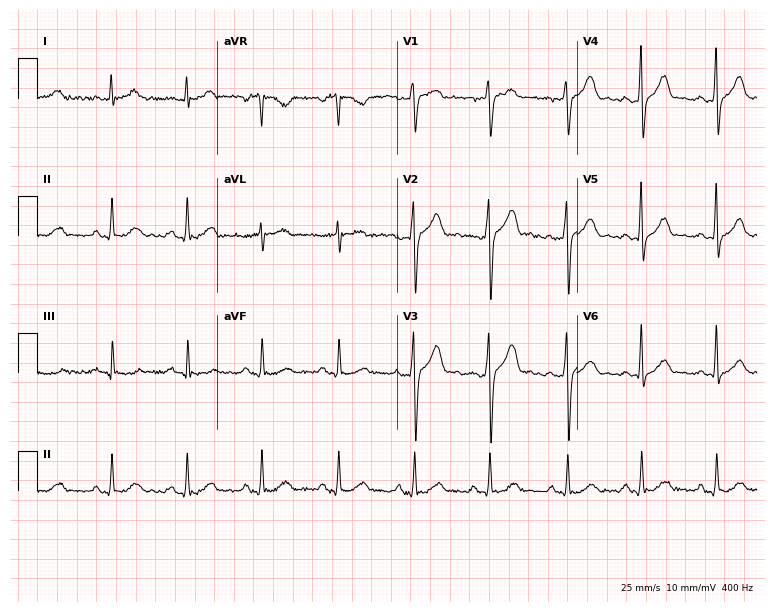
Resting 12-lead electrocardiogram (7.3-second recording at 400 Hz). Patient: a 38-year-old male. Read as a normal ECG.